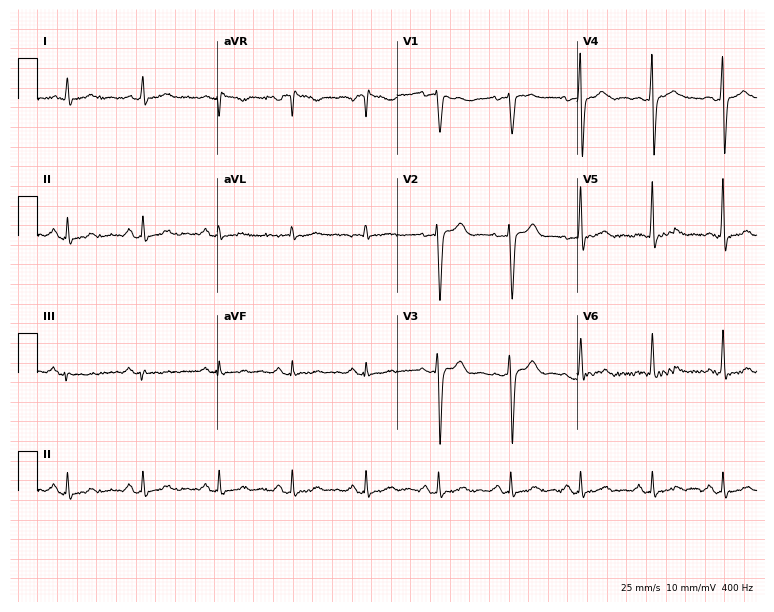
12-lead ECG from a 32-year-old male patient (7.3-second recording at 400 Hz). No first-degree AV block, right bundle branch block, left bundle branch block, sinus bradycardia, atrial fibrillation or sinus tachycardia recorded for this tracing. Other findings, if any, are not listed.